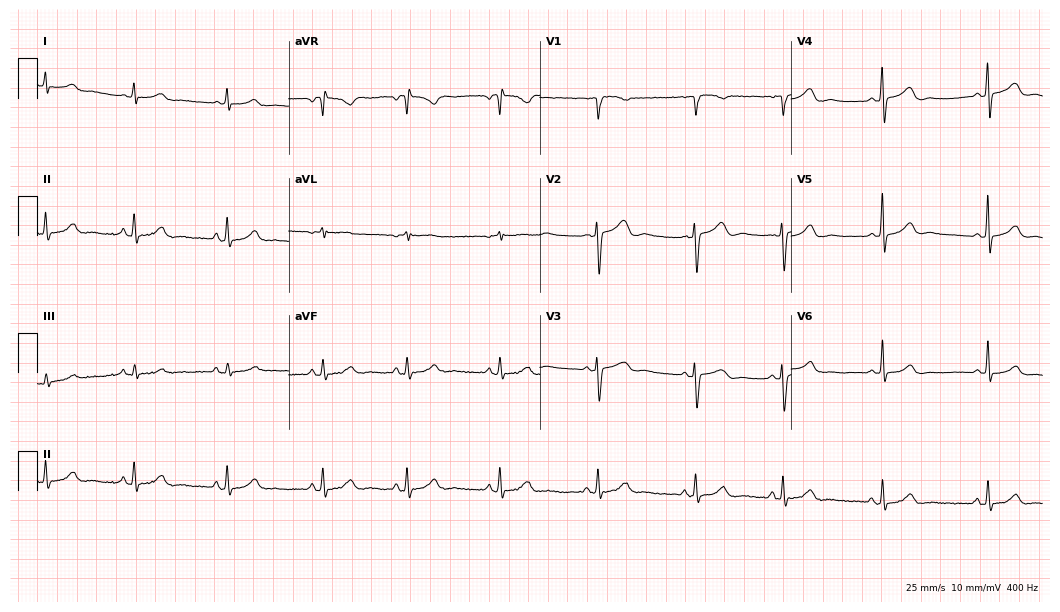
ECG — a 41-year-old female. Labelled as a normal ECG.